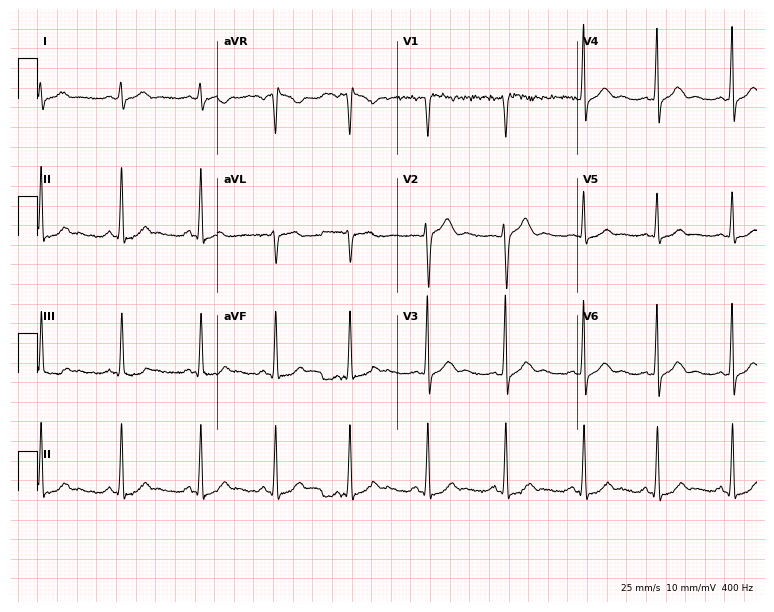
12-lead ECG (7.3-second recording at 400 Hz) from a 31-year-old man. Screened for six findings — first-degree AV block, right bundle branch block, left bundle branch block, sinus bradycardia, atrial fibrillation, sinus tachycardia — none is recorded. Only these six findings were labelled.